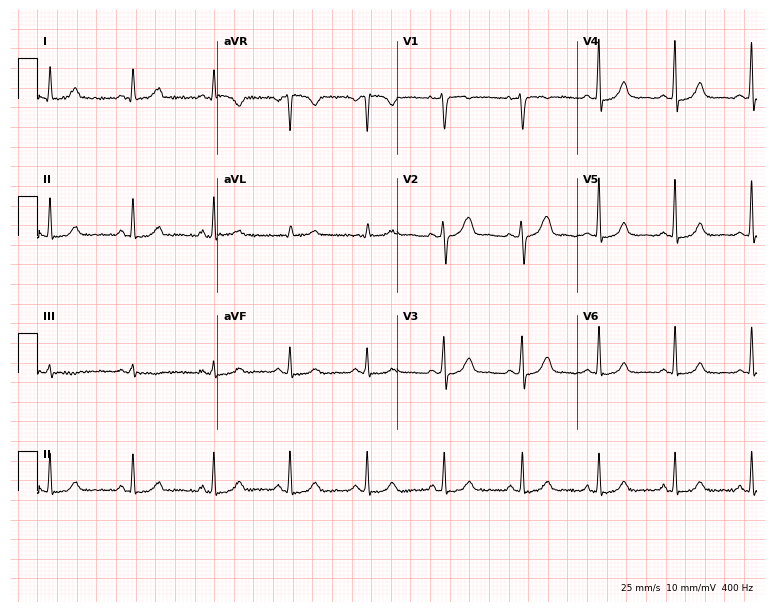
12-lead ECG from a female patient, 34 years old. Labelled as a normal ECG.